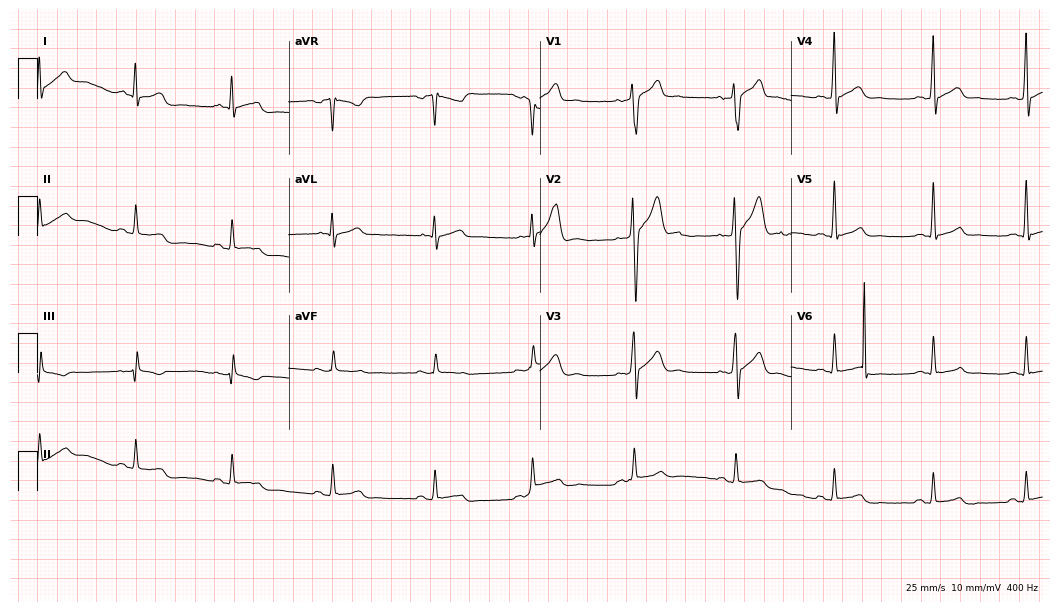
Resting 12-lead electrocardiogram. Patient: a male, 34 years old. None of these six findings is recorded: first-degree AV block, right bundle branch block, left bundle branch block, sinus bradycardia, atrial fibrillation, sinus tachycardia. Findings outside these six are not listed.